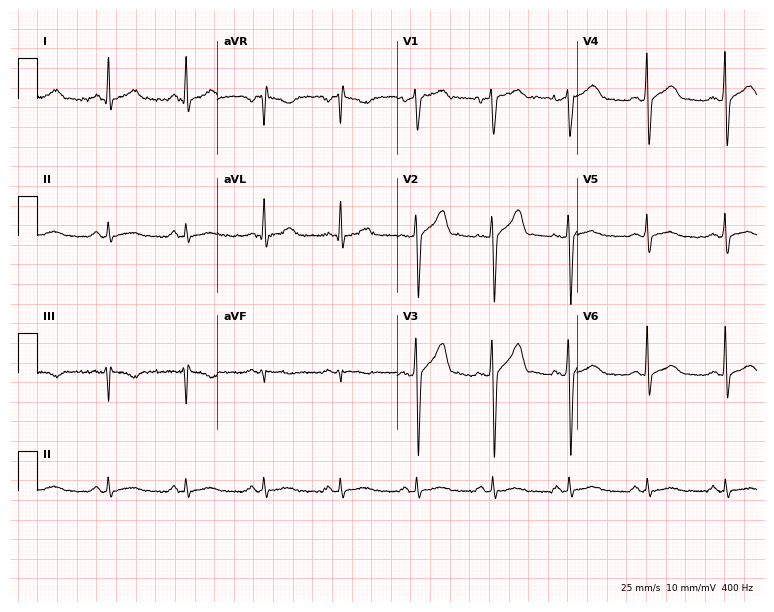
Standard 12-lead ECG recorded from a 28-year-old man. Read as a normal ECG.